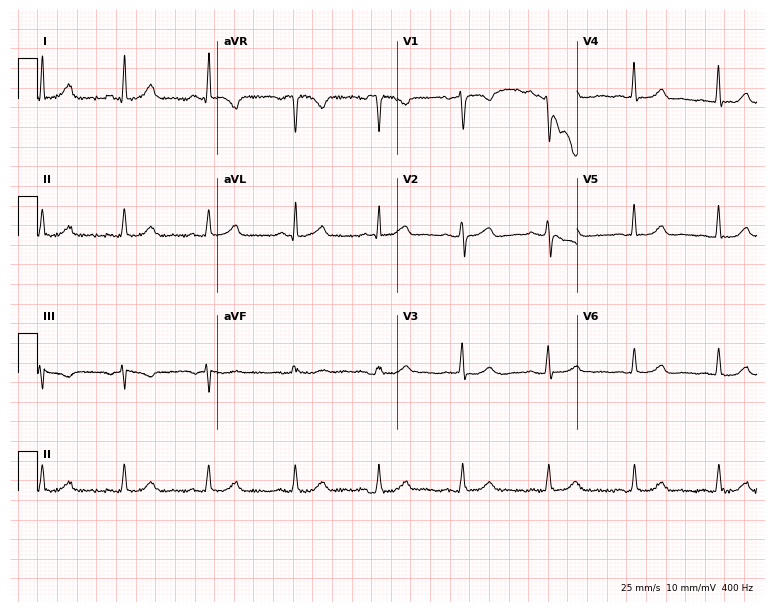
Electrocardiogram (7.3-second recording at 400 Hz), a female patient, 42 years old. Of the six screened findings (first-degree AV block, right bundle branch block, left bundle branch block, sinus bradycardia, atrial fibrillation, sinus tachycardia), none is recorded.